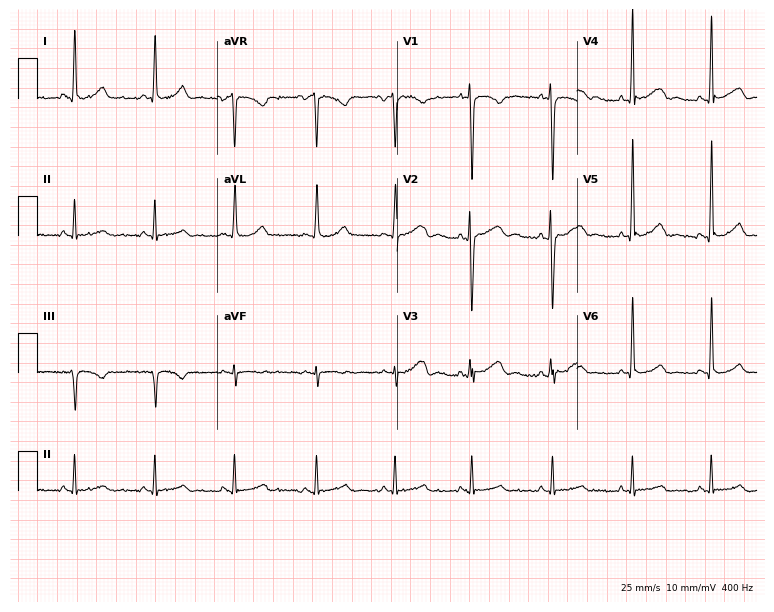
12-lead ECG from a female patient, 33 years old. Screened for six findings — first-degree AV block, right bundle branch block (RBBB), left bundle branch block (LBBB), sinus bradycardia, atrial fibrillation (AF), sinus tachycardia — none is recorded.